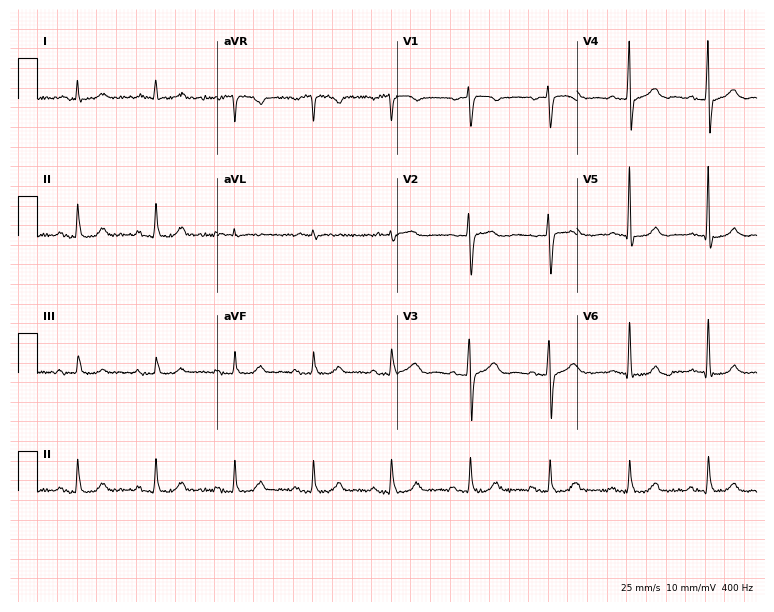
Electrocardiogram, a male, 76 years old. Of the six screened findings (first-degree AV block, right bundle branch block, left bundle branch block, sinus bradycardia, atrial fibrillation, sinus tachycardia), none is recorded. Only these six findings were labelled.